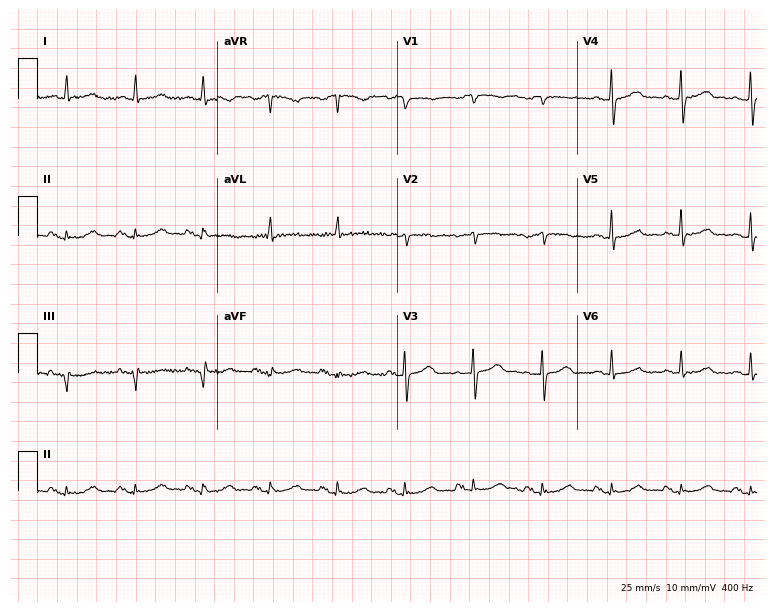
Standard 12-lead ECG recorded from a 72-year-old female. Read as a normal ECG.